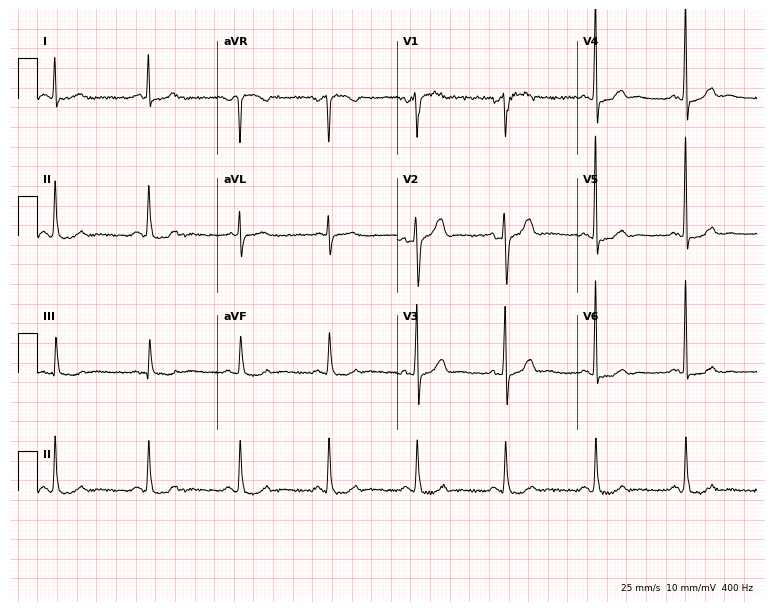
ECG (7.3-second recording at 400 Hz) — a 57-year-old male. Screened for six findings — first-degree AV block, right bundle branch block, left bundle branch block, sinus bradycardia, atrial fibrillation, sinus tachycardia — none is recorded. Only these six findings were labelled.